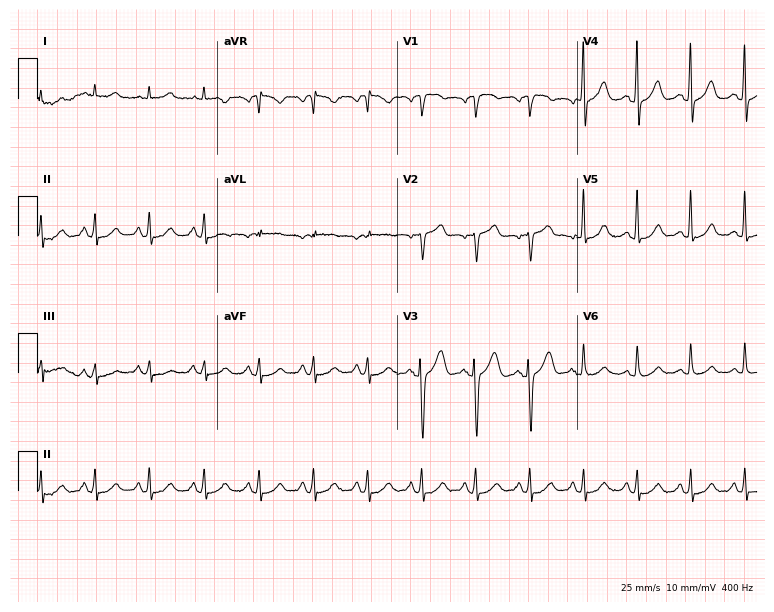
ECG (7.3-second recording at 400 Hz) — a 60-year-old male. Findings include sinus tachycardia (a sinus rate of 100 beats per minute or more).